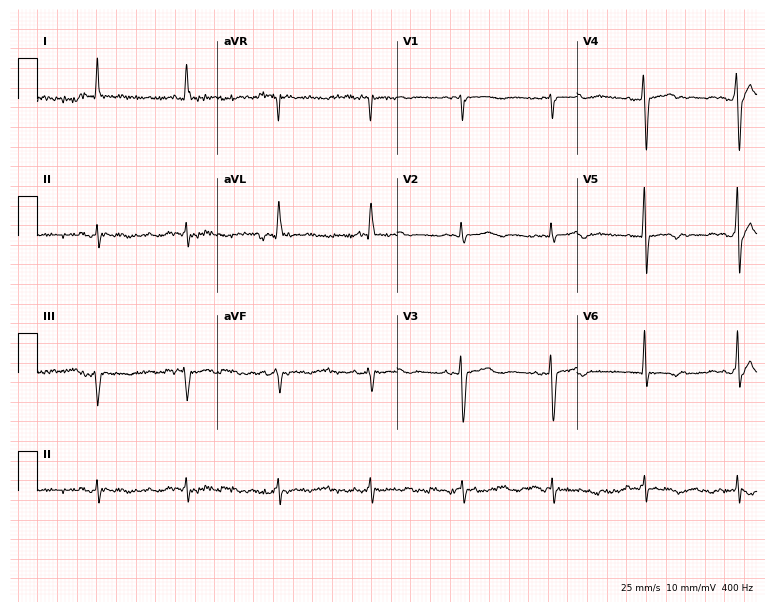
ECG (7.3-second recording at 400 Hz) — a female, 78 years old. Screened for six findings — first-degree AV block, right bundle branch block, left bundle branch block, sinus bradycardia, atrial fibrillation, sinus tachycardia — none is recorded. Only these six findings were labelled.